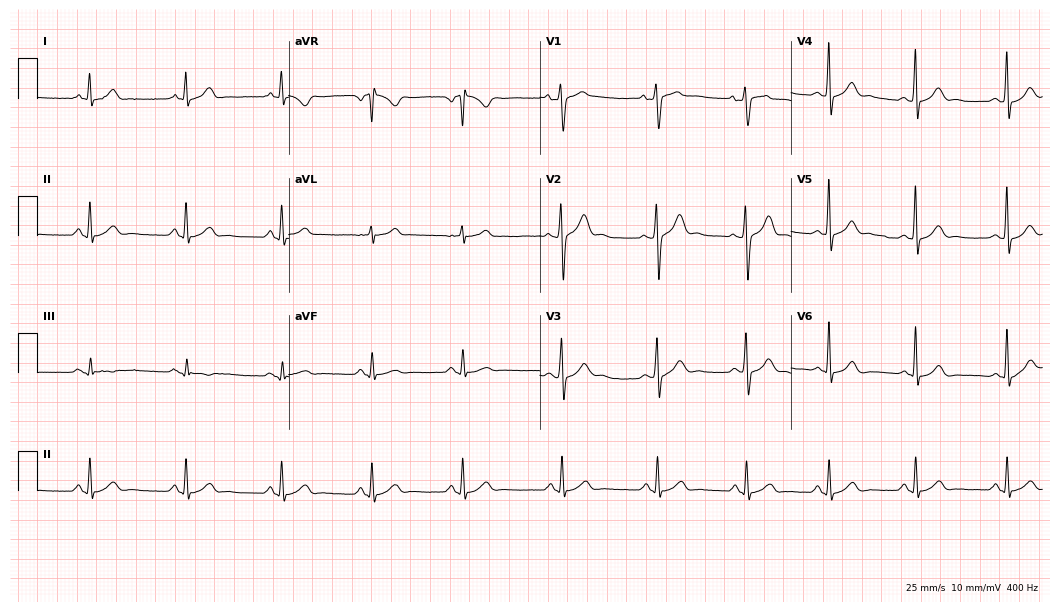
12-lead ECG (10.2-second recording at 400 Hz) from a 28-year-old man. Labelled as a normal ECG.